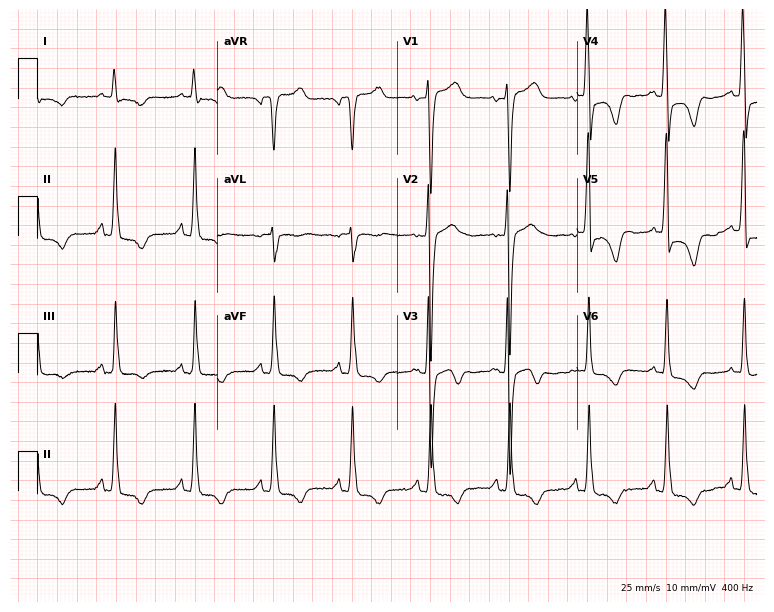
12-lead ECG from a female, 79 years old. No first-degree AV block, right bundle branch block, left bundle branch block, sinus bradycardia, atrial fibrillation or sinus tachycardia recorded for this tracing. Only these six findings were labelled.